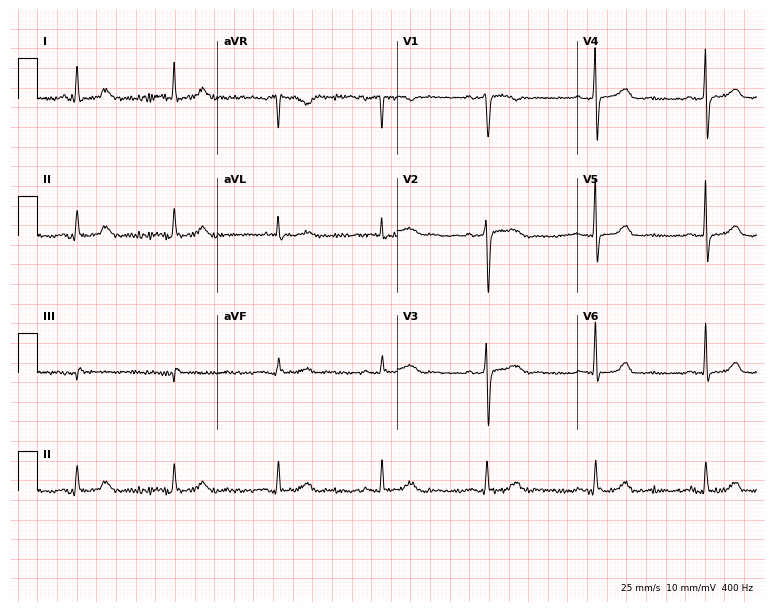
Resting 12-lead electrocardiogram (7.3-second recording at 400 Hz). Patient: a female, 61 years old. Read as a normal ECG.